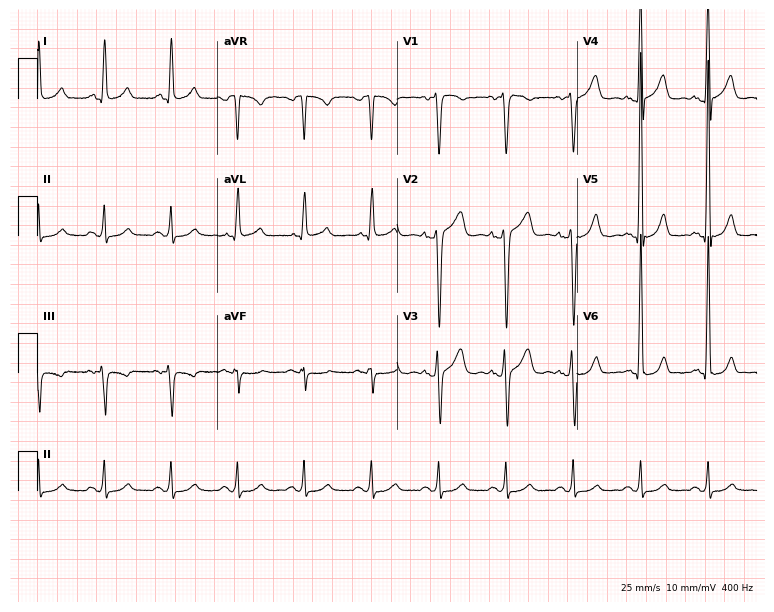
Resting 12-lead electrocardiogram (7.3-second recording at 400 Hz). Patient: a 62-year-old male. Read as a normal ECG.